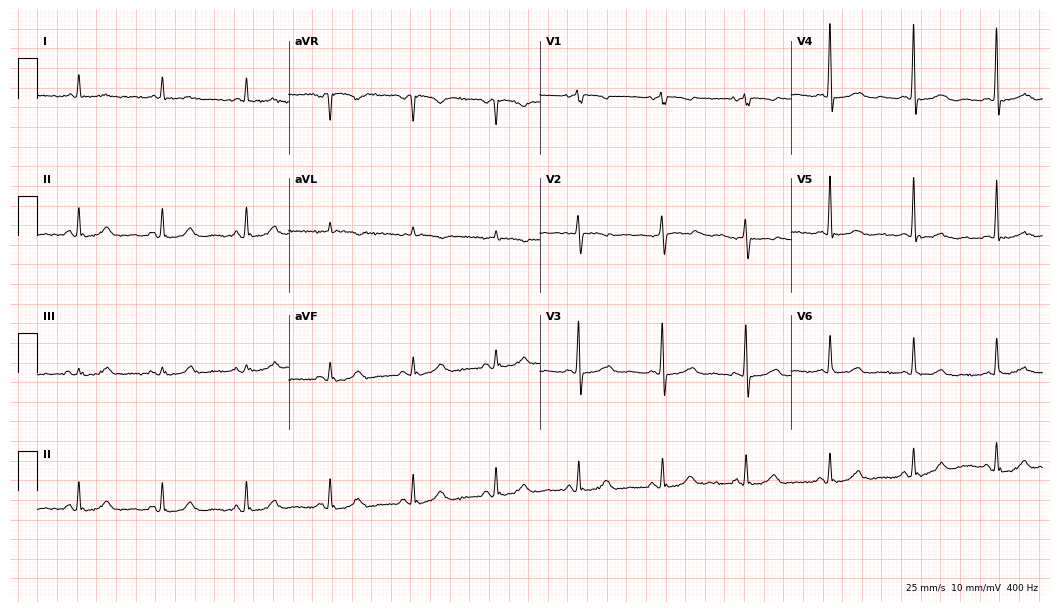
12-lead ECG from a female patient, 75 years old. Recorded interpretation: within normal limits.